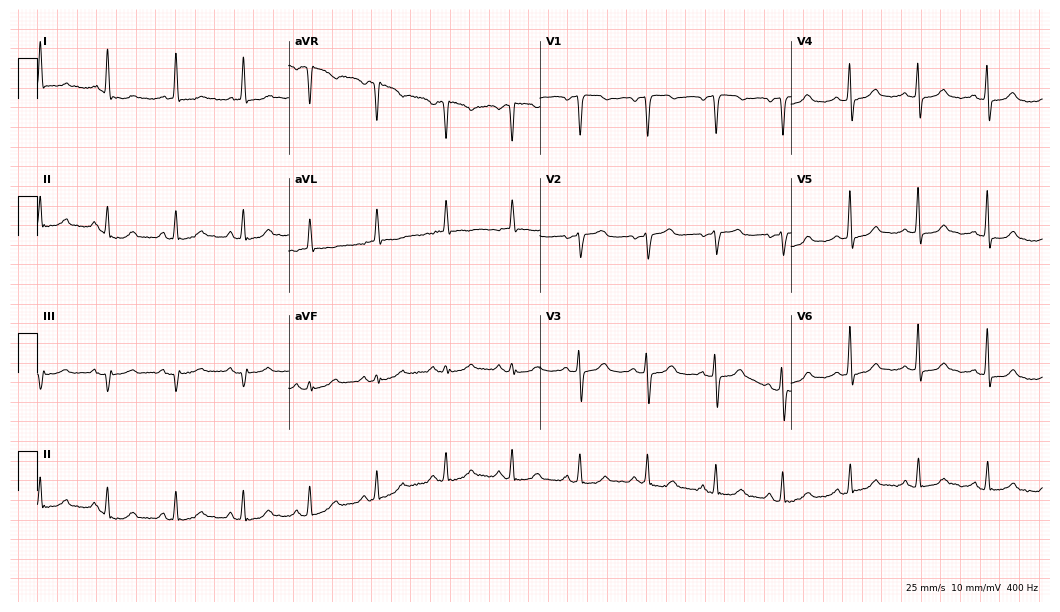
Resting 12-lead electrocardiogram. Patient: an 83-year-old woman. Read as a normal ECG.